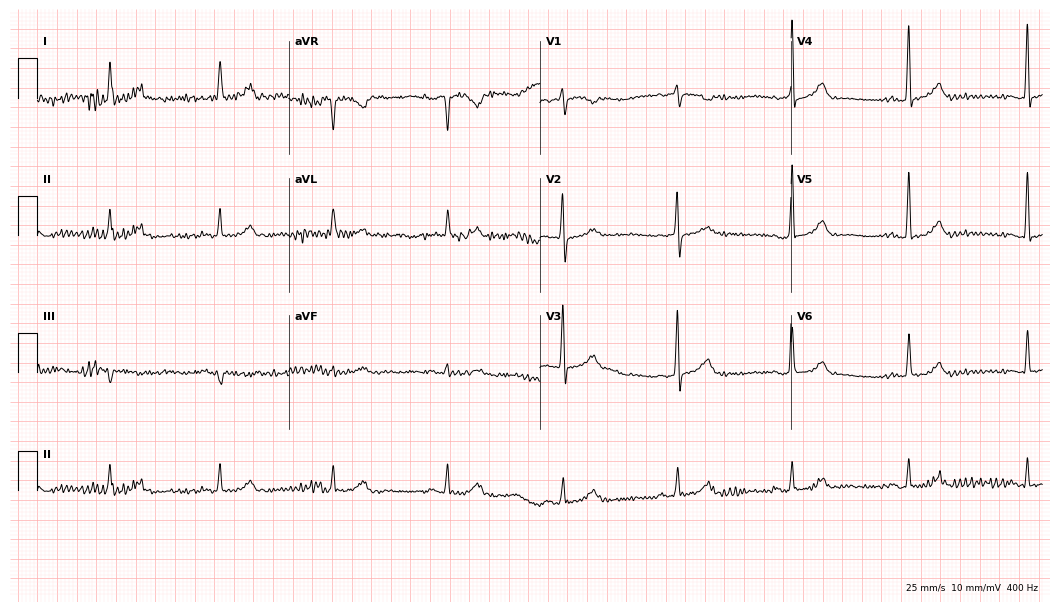
Standard 12-lead ECG recorded from a female patient, 69 years old (10.2-second recording at 400 Hz). None of these six findings is recorded: first-degree AV block, right bundle branch block (RBBB), left bundle branch block (LBBB), sinus bradycardia, atrial fibrillation (AF), sinus tachycardia.